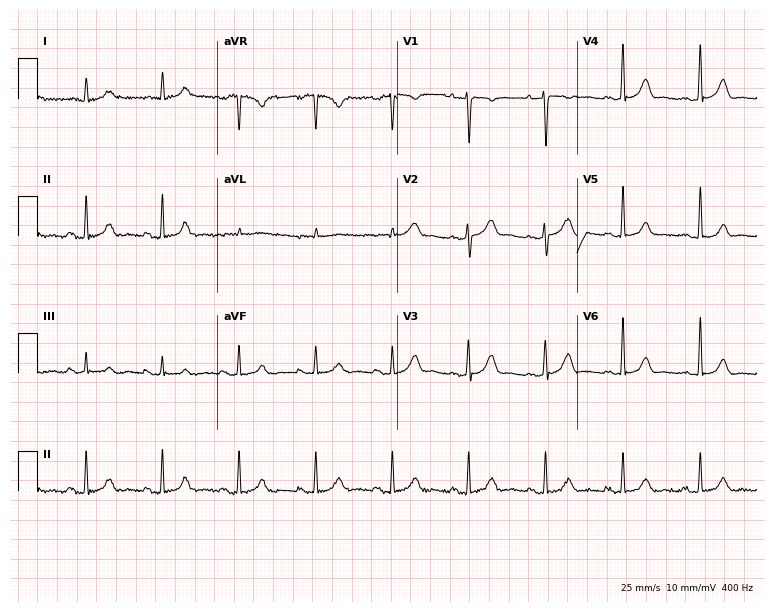
ECG (7.3-second recording at 400 Hz) — a woman, 50 years old. Screened for six findings — first-degree AV block, right bundle branch block, left bundle branch block, sinus bradycardia, atrial fibrillation, sinus tachycardia — none is recorded.